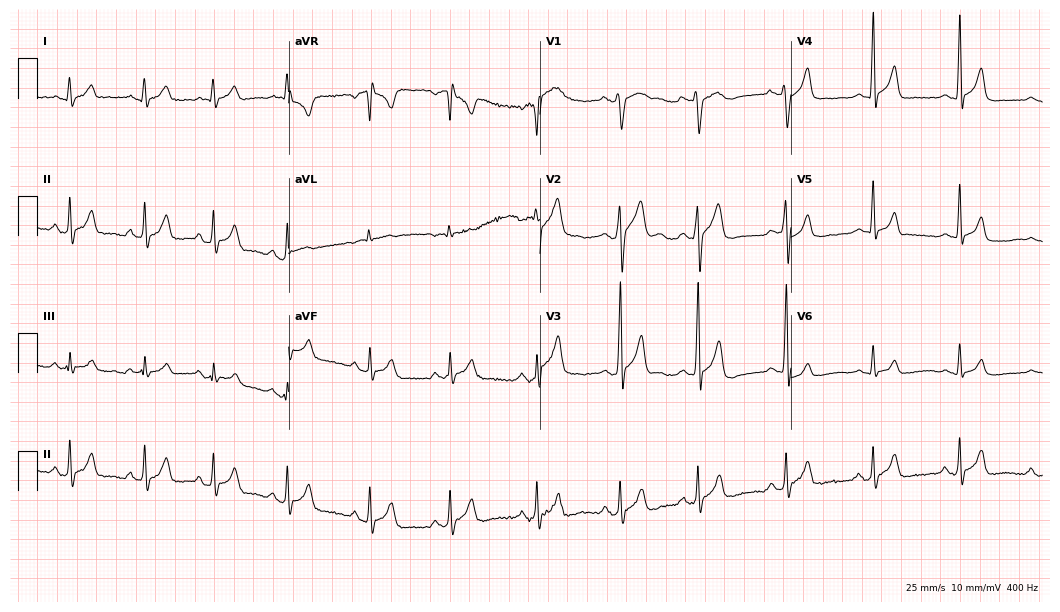
12-lead ECG from a male patient, 21 years old. Screened for six findings — first-degree AV block, right bundle branch block (RBBB), left bundle branch block (LBBB), sinus bradycardia, atrial fibrillation (AF), sinus tachycardia — none is recorded.